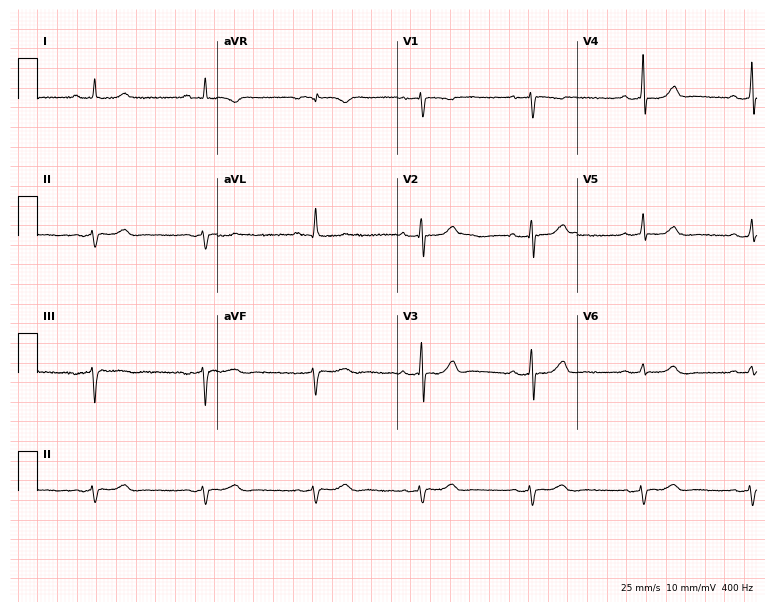
Resting 12-lead electrocardiogram (7.3-second recording at 400 Hz). Patient: a 71-year-old female. None of these six findings is recorded: first-degree AV block, right bundle branch block, left bundle branch block, sinus bradycardia, atrial fibrillation, sinus tachycardia. Findings outside these six are not listed.